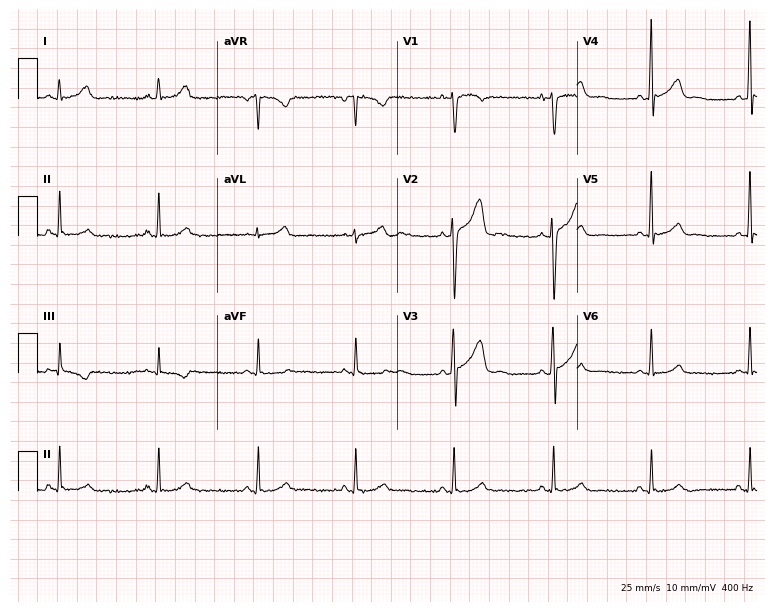
Standard 12-lead ECG recorded from a 33-year-old male patient (7.3-second recording at 400 Hz). Read as a normal ECG.